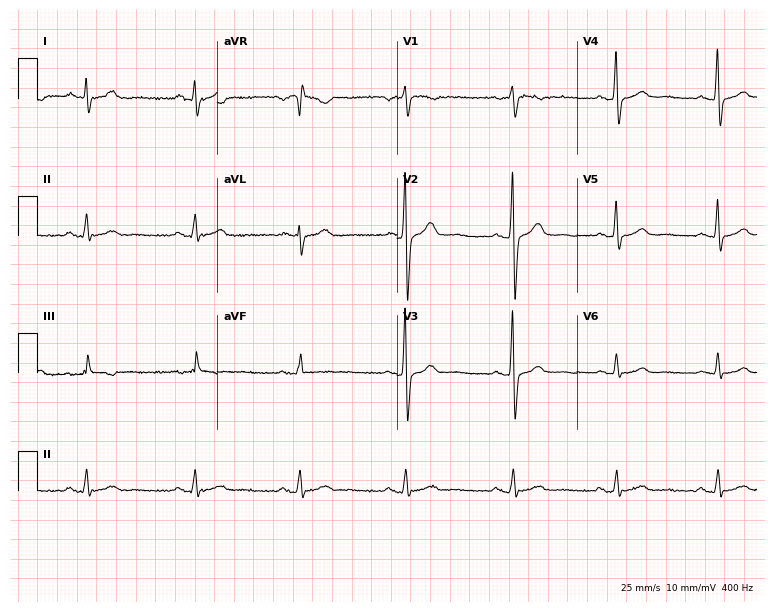
Electrocardiogram (7.3-second recording at 400 Hz), a 63-year-old man. Overall reading on record: normal ECG.